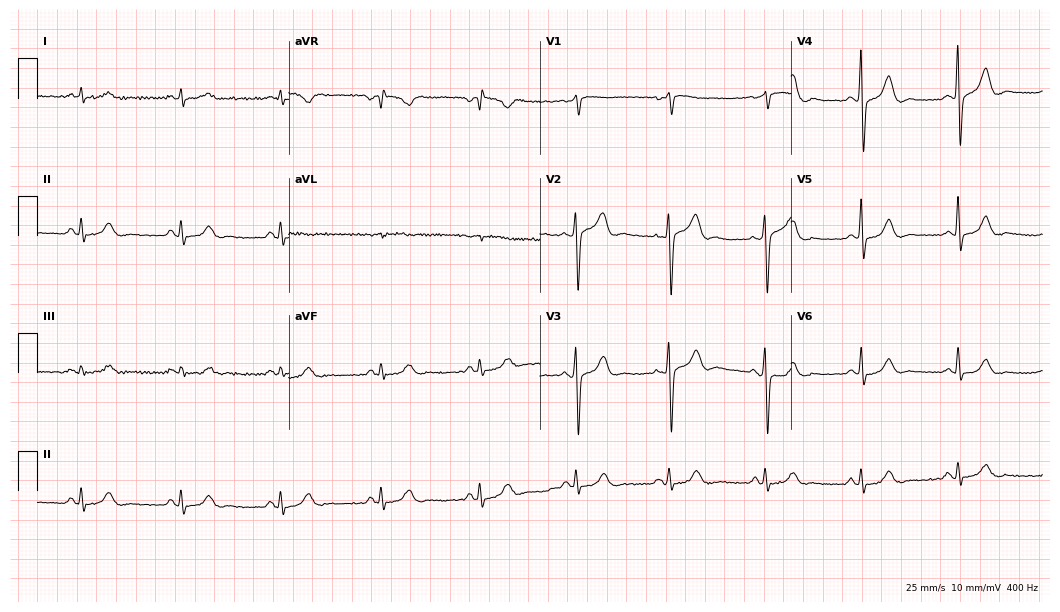
Standard 12-lead ECG recorded from an 81-year-old male (10.2-second recording at 400 Hz). Read as a normal ECG.